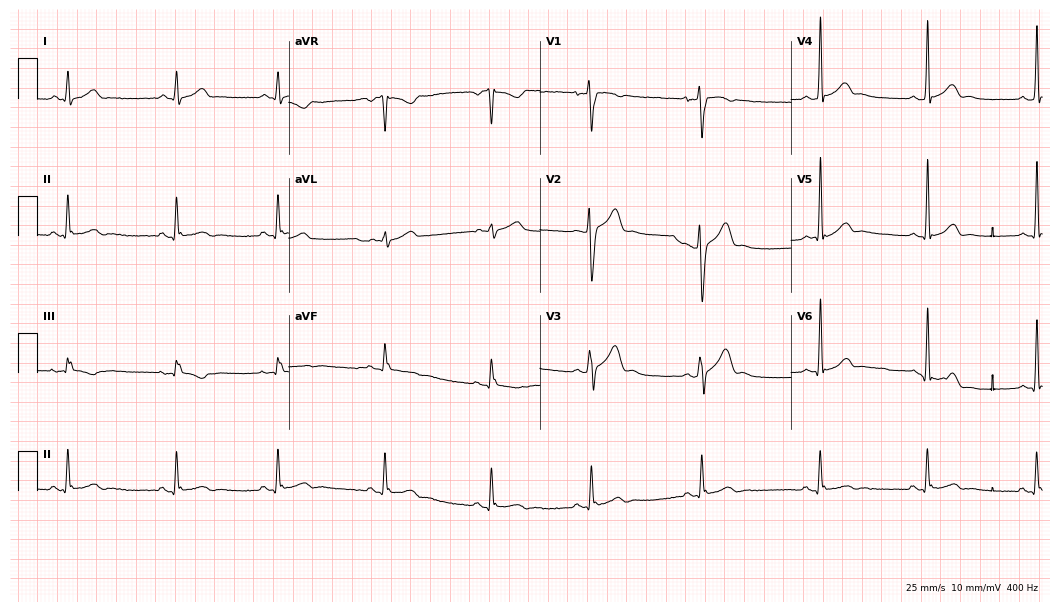
Standard 12-lead ECG recorded from a man, 28 years old (10.2-second recording at 400 Hz). None of these six findings is recorded: first-degree AV block, right bundle branch block (RBBB), left bundle branch block (LBBB), sinus bradycardia, atrial fibrillation (AF), sinus tachycardia.